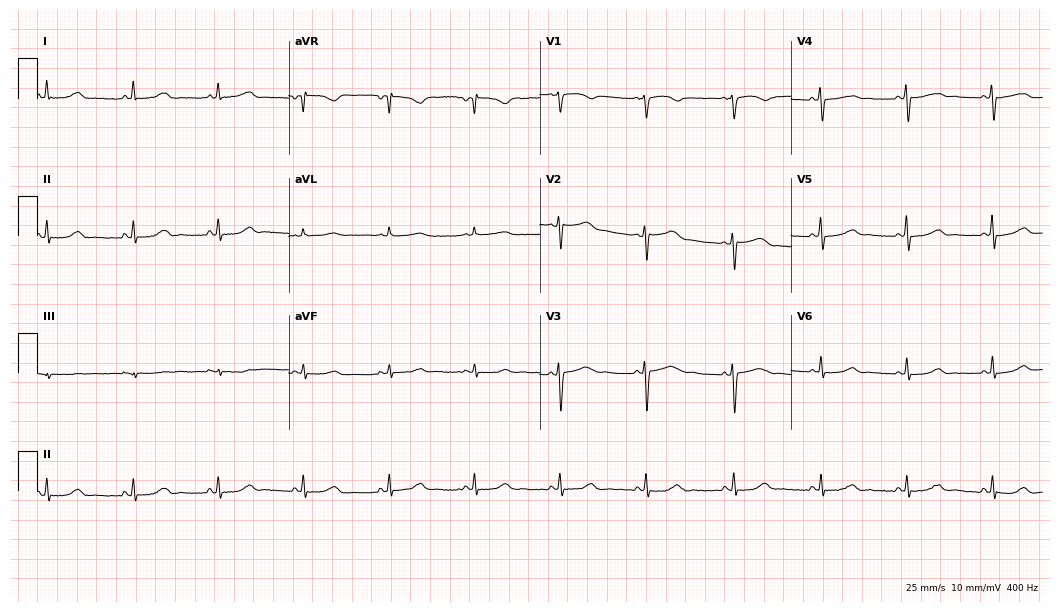
Standard 12-lead ECG recorded from a woman, 61 years old. None of these six findings is recorded: first-degree AV block, right bundle branch block (RBBB), left bundle branch block (LBBB), sinus bradycardia, atrial fibrillation (AF), sinus tachycardia. Other findings, if any, are not listed.